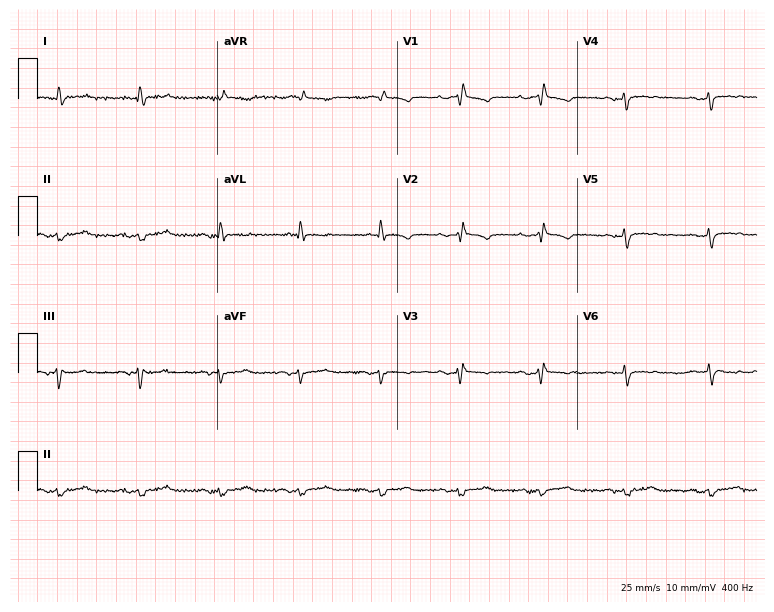
ECG — a female patient, 67 years old. Screened for six findings — first-degree AV block, right bundle branch block (RBBB), left bundle branch block (LBBB), sinus bradycardia, atrial fibrillation (AF), sinus tachycardia — none is recorded. Only these six findings were labelled.